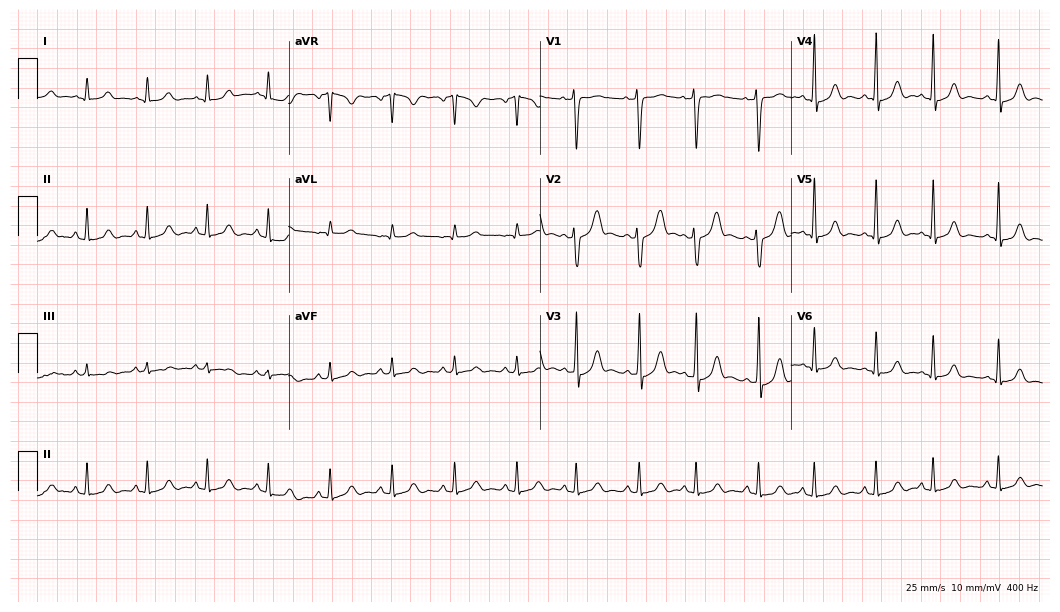
Resting 12-lead electrocardiogram (10.2-second recording at 400 Hz). Patient: a 48-year-old female. None of these six findings is recorded: first-degree AV block, right bundle branch block, left bundle branch block, sinus bradycardia, atrial fibrillation, sinus tachycardia. Findings outside these six are not listed.